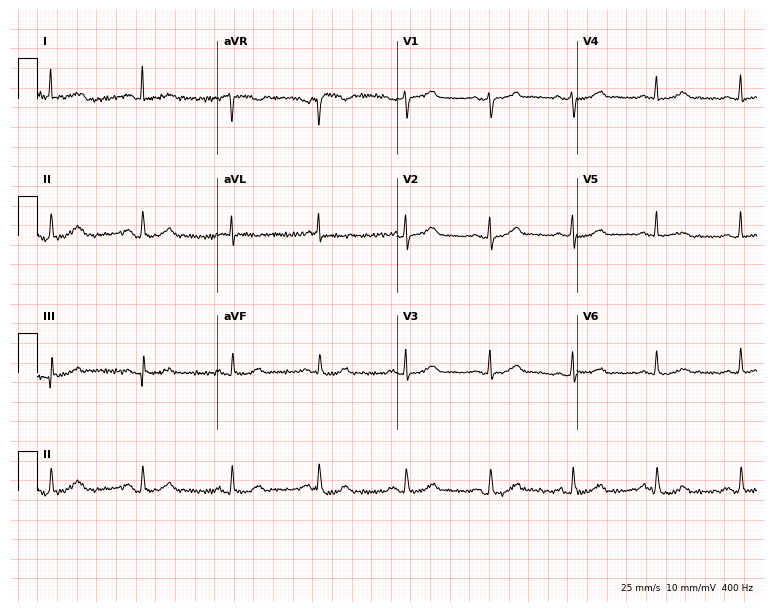
12-lead ECG (7.3-second recording at 400 Hz) from a 50-year-old female patient. Labelled as a normal ECG.